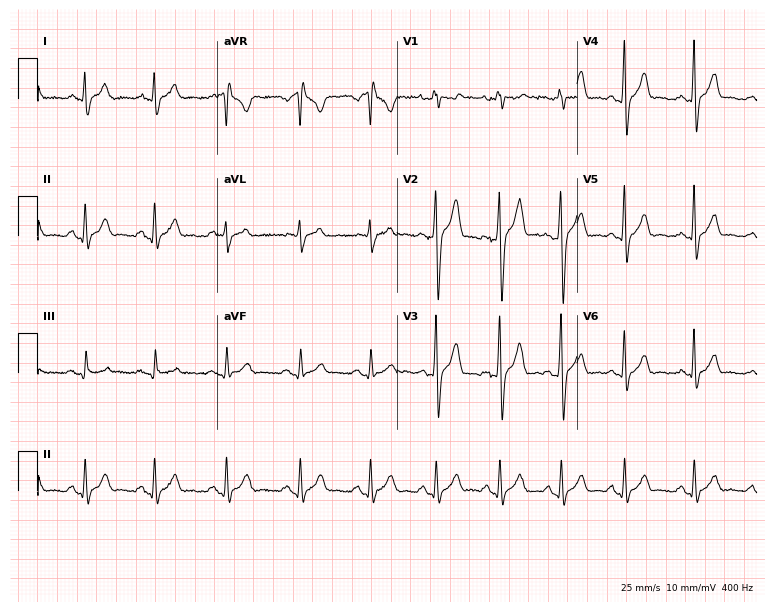
12-lead ECG from a 35-year-old male patient (7.3-second recording at 400 Hz). Recorded interpretation: within normal limits.